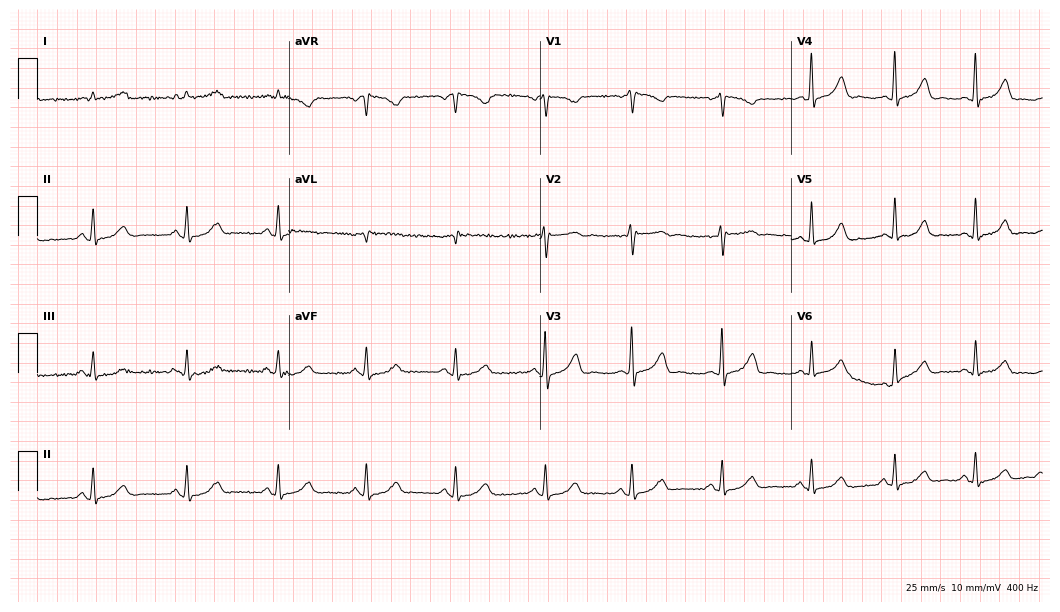
12-lead ECG from a female, 41 years old (10.2-second recording at 400 Hz). Recorded interpretation: within normal limits.